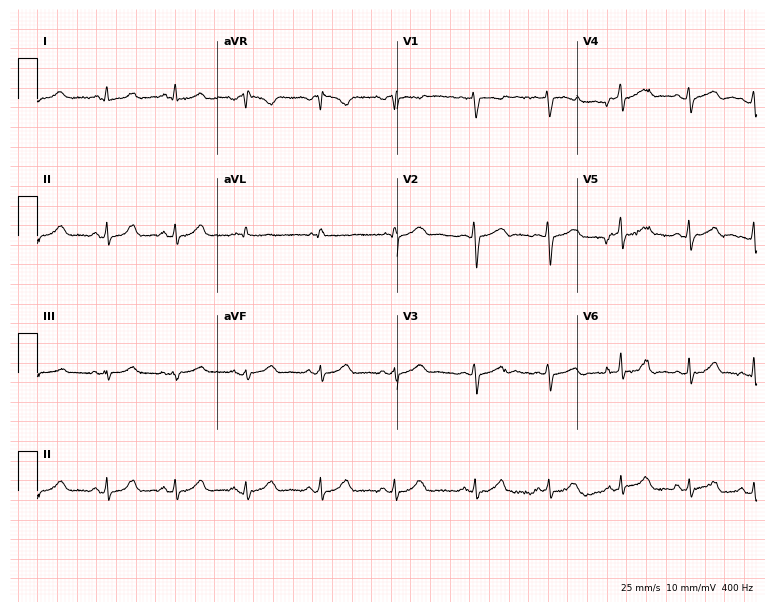
Standard 12-lead ECG recorded from a female, 21 years old. None of these six findings is recorded: first-degree AV block, right bundle branch block, left bundle branch block, sinus bradycardia, atrial fibrillation, sinus tachycardia. Findings outside these six are not listed.